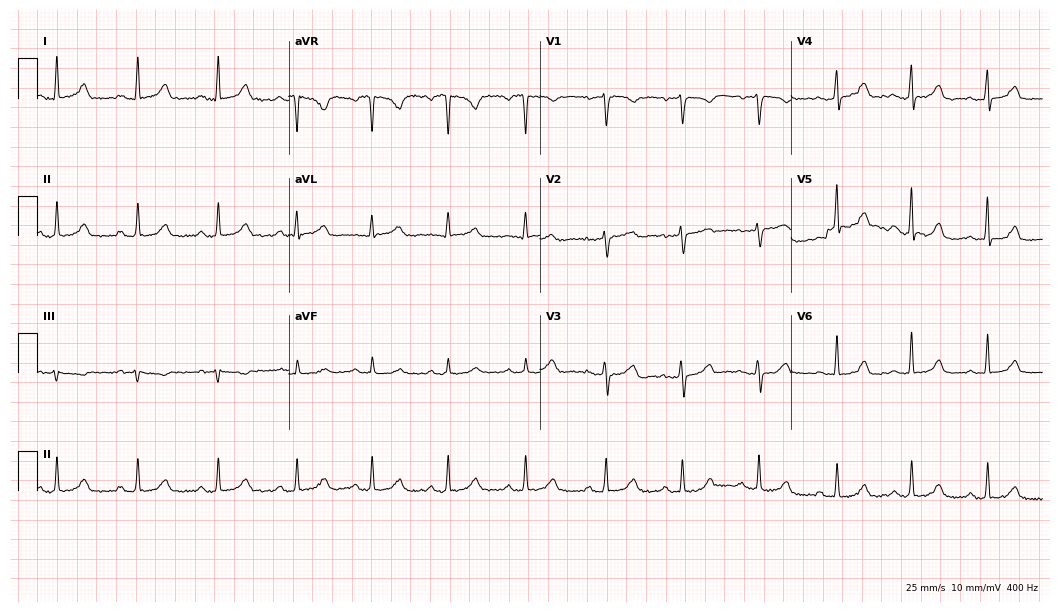
12-lead ECG from a woman, 30 years old. Recorded interpretation: within normal limits.